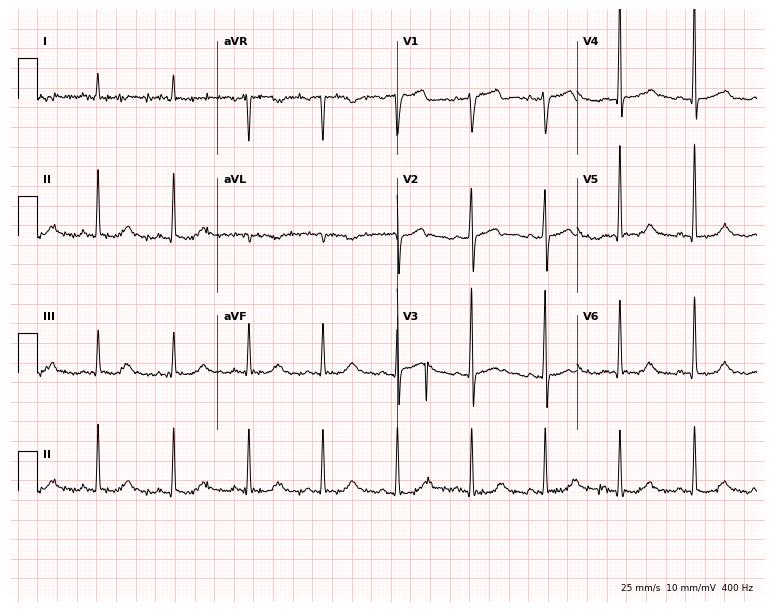
Electrocardiogram, a male, 78 years old. Of the six screened findings (first-degree AV block, right bundle branch block, left bundle branch block, sinus bradycardia, atrial fibrillation, sinus tachycardia), none is recorded. Findings outside these six are not listed.